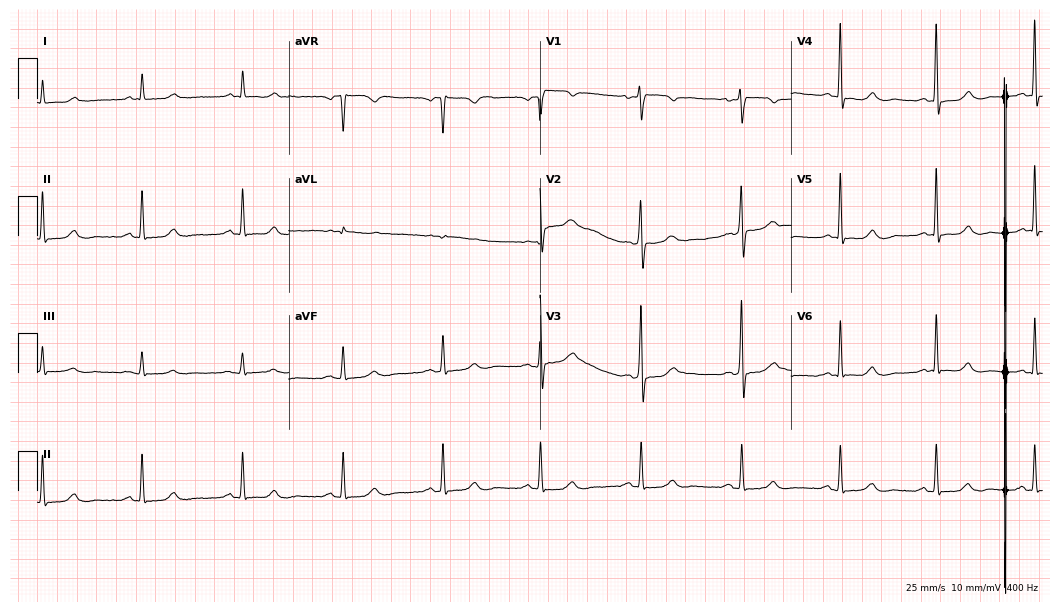
ECG — a female patient, 63 years old. Screened for six findings — first-degree AV block, right bundle branch block, left bundle branch block, sinus bradycardia, atrial fibrillation, sinus tachycardia — none is recorded. Only these six findings were labelled.